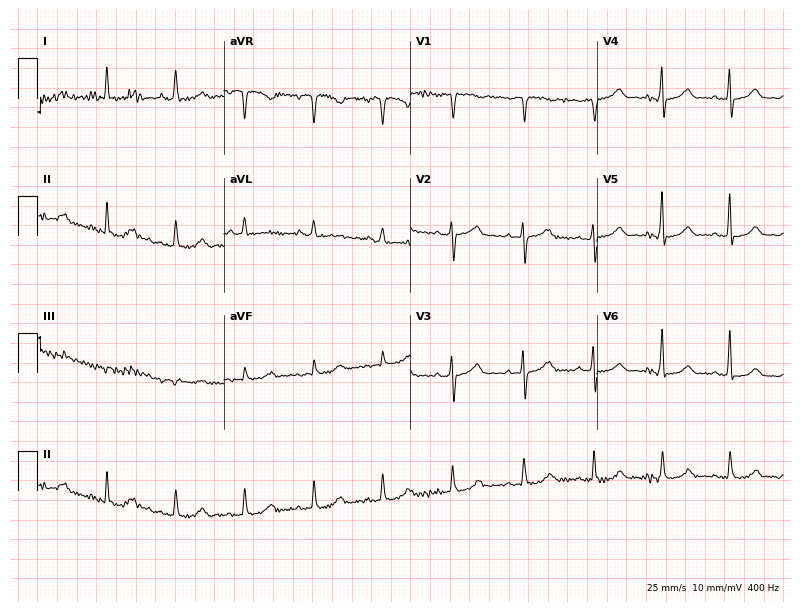
Resting 12-lead electrocardiogram. Patient: a female, 74 years old. Read as a normal ECG.